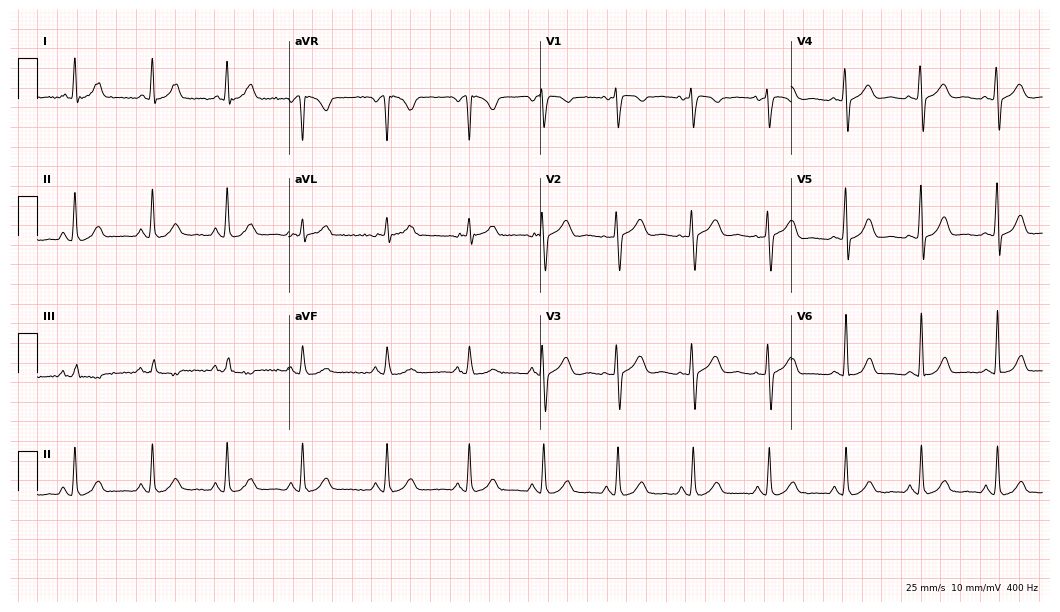
12-lead ECG from a female, 48 years old. Recorded interpretation: within normal limits.